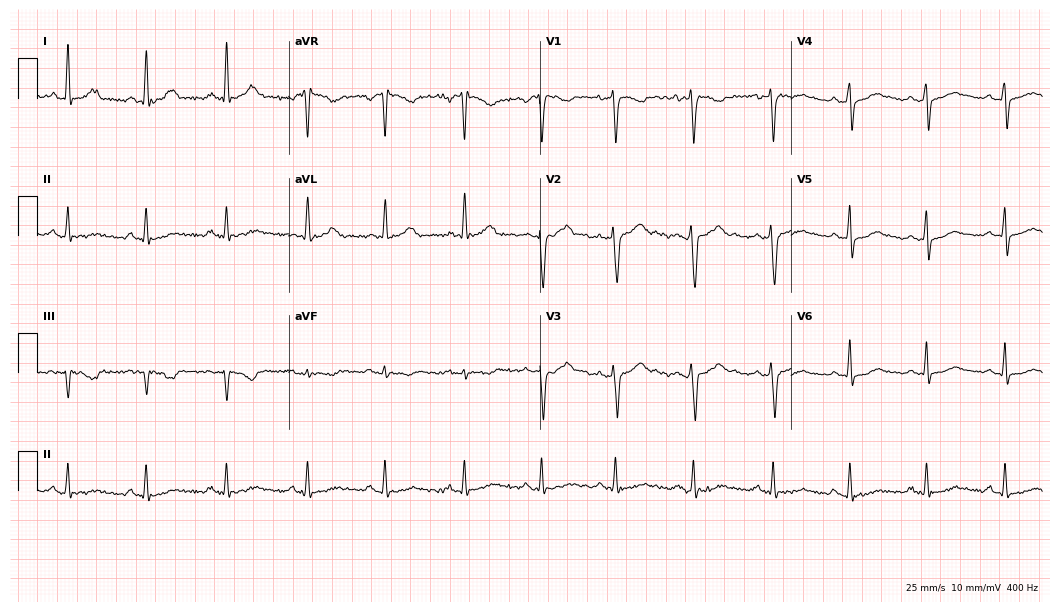
12-lead ECG from a 31-year-old female patient. Screened for six findings — first-degree AV block, right bundle branch block (RBBB), left bundle branch block (LBBB), sinus bradycardia, atrial fibrillation (AF), sinus tachycardia — none is recorded.